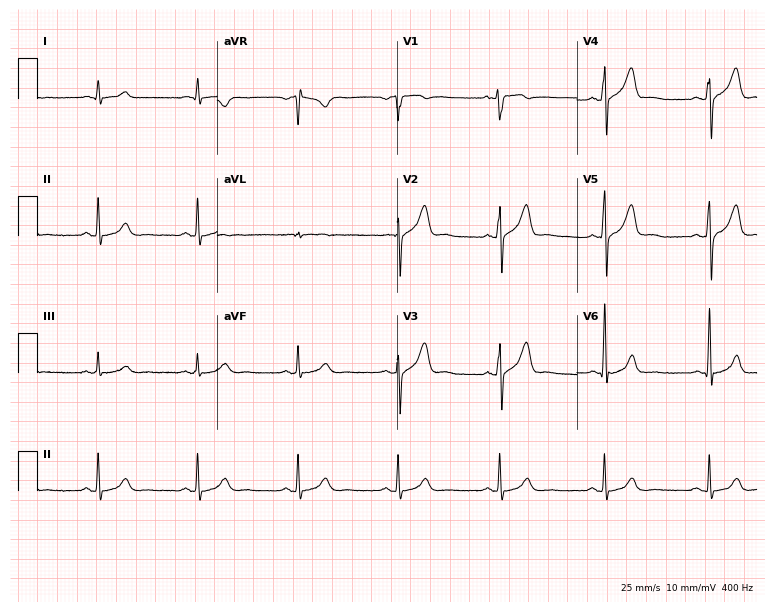
12-lead ECG from a 36-year-old male. Screened for six findings — first-degree AV block, right bundle branch block, left bundle branch block, sinus bradycardia, atrial fibrillation, sinus tachycardia — none is recorded. Findings outside these six are not listed.